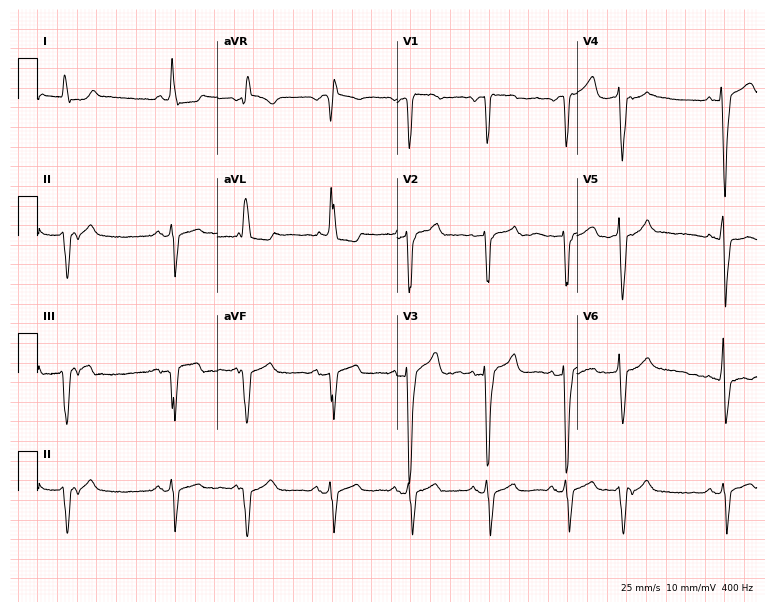
12-lead ECG from a female patient, 81 years old. No first-degree AV block, right bundle branch block, left bundle branch block, sinus bradycardia, atrial fibrillation or sinus tachycardia recorded for this tracing.